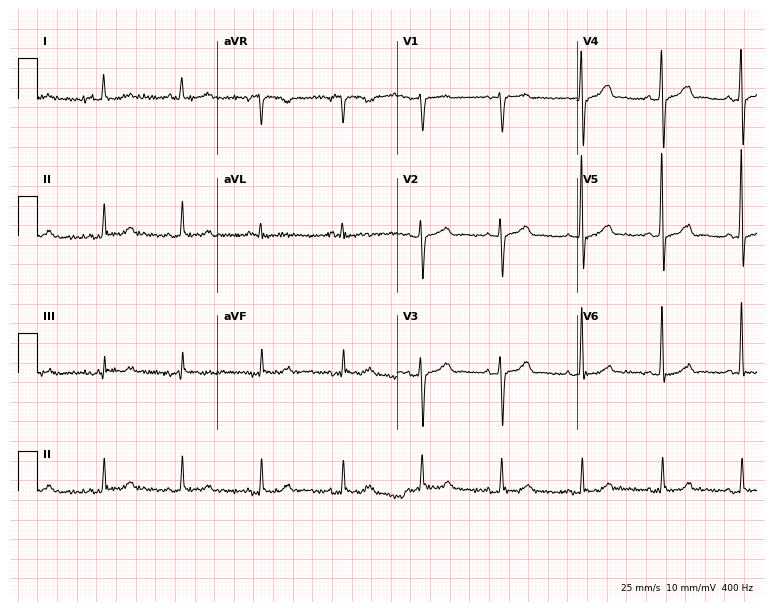
Electrocardiogram, a woman, 80 years old. Of the six screened findings (first-degree AV block, right bundle branch block, left bundle branch block, sinus bradycardia, atrial fibrillation, sinus tachycardia), none is recorded.